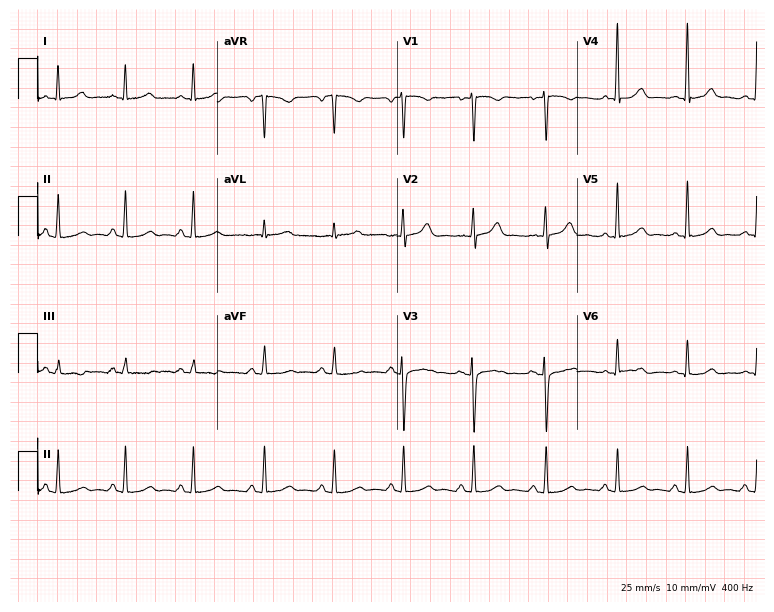
12-lead ECG from a 35-year-old female patient. Labelled as a normal ECG.